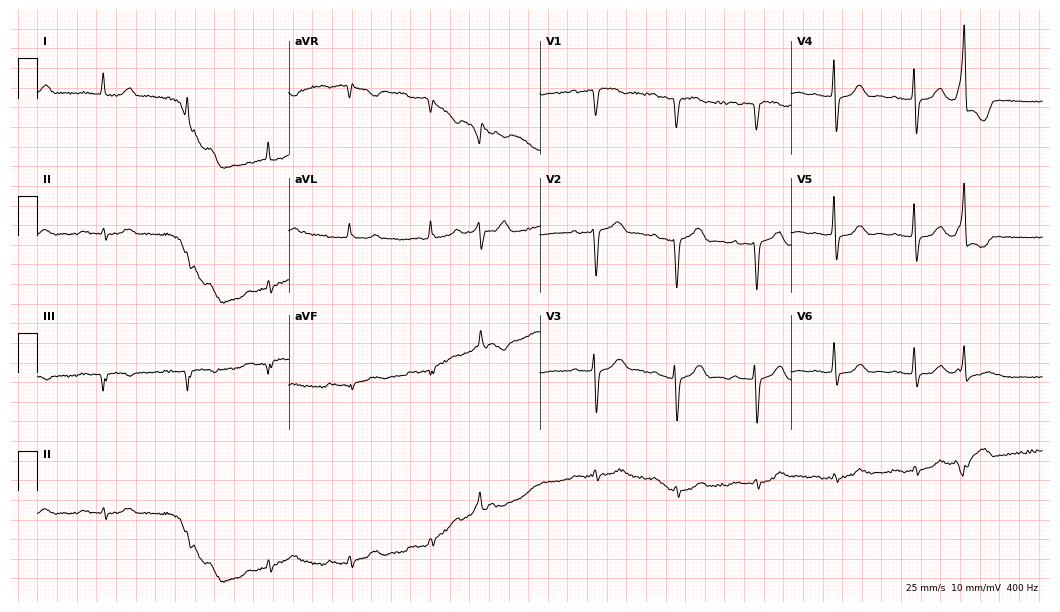
12-lead ECG from a male patient, 77 years old. Screened for six findings — first-degree AV block, right bundle branch block, left bundle branch block, sinus bradycardia, atrial fibrillation, sinus tachycardia — none is recorded. Findings outside these six are not listed.